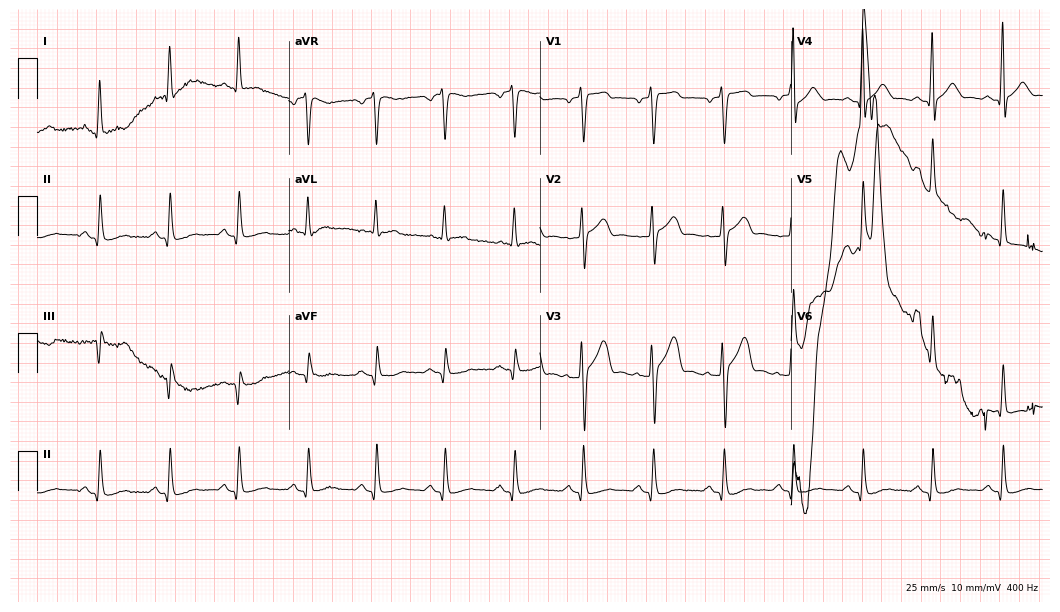
Electrocardiogram, a male, 55 years old. Of the six screened findings (first-degree AV block, right bundle branch block (RBBB), left bundle branch block (LBBB), sinus bradycardia, atrial fibrillation (AF), sinus tachycardia), none is recorded. Findings outside these six are not listed.